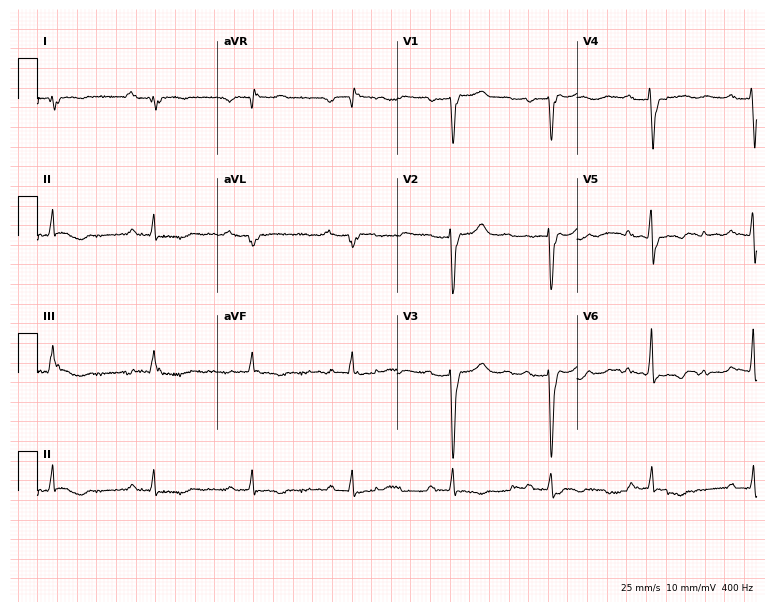
12-lead ECG from a 58-year-old man (7.3-second recording at 400 Hz). Shows first-degree AV block.